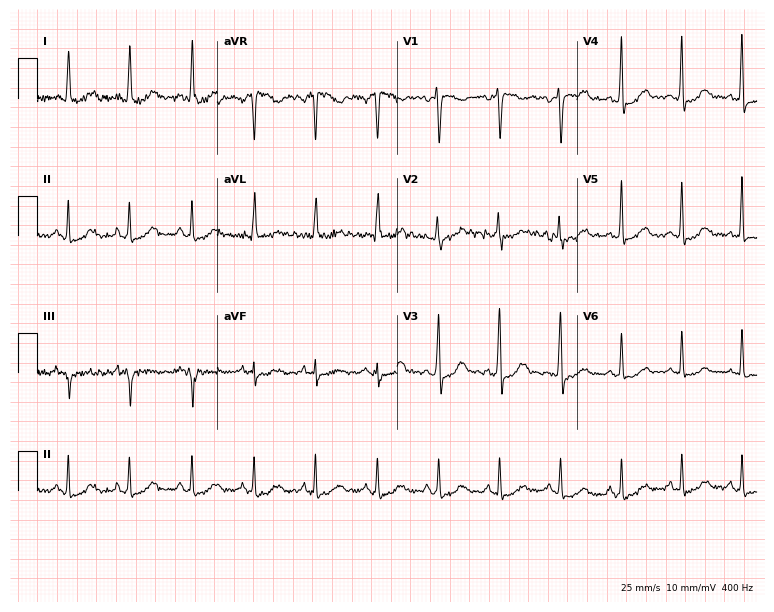
Resting 12-lead electrocardiogram. Patient: a woman, 54 years old. None of these six findings is recorded: first-degree AV block, right bundle branch block (RBBB), left bundle branch block (LBBB), sinus bradycardia, atrial fibrillation (AF), sinus tachycardia. Only these six findings were labelled.